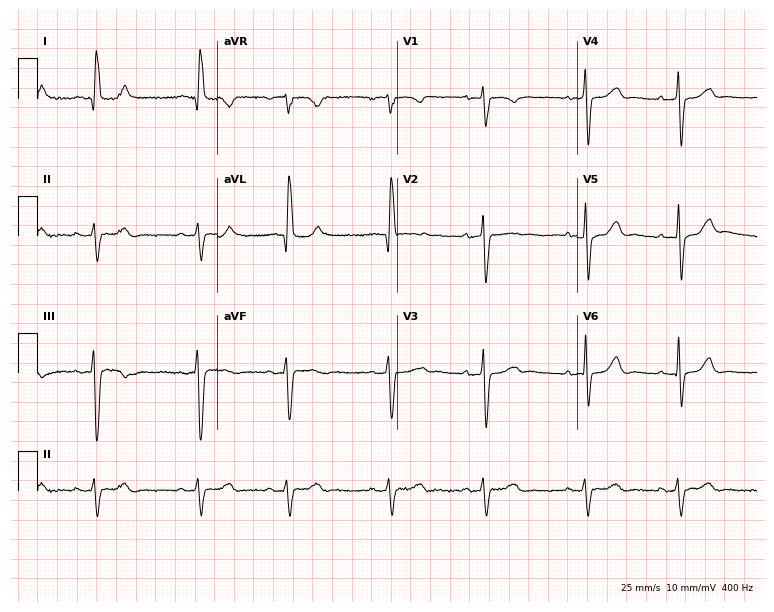
Standard 12-lead ECG recorded from a female, 78 years old (7.3-second recording at 400 Hz). None of these six findings is recorded: first-degree AV block, right bundle branch block, left bundle branch block, sinus bradycardia, atrial fibrillation, sinus tachycardia. Only these six findings were labelled.